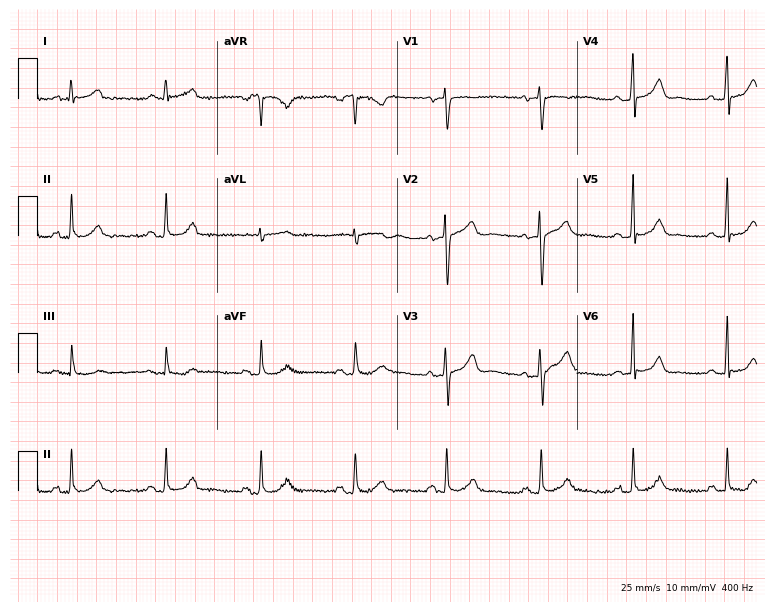
12-lead ECG (7.3-second recording at 400 Hz) from a 60-year-old woman. Labelled as a normal ECG.